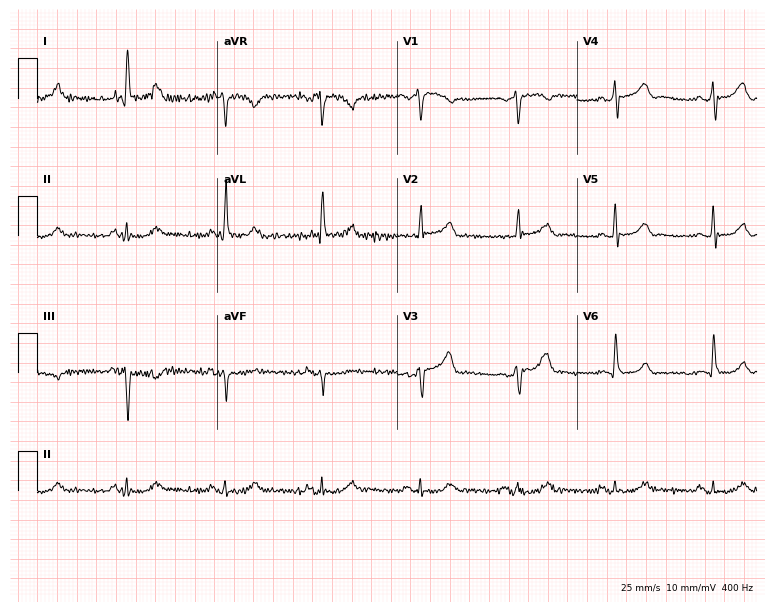
Resting 12-lead electrocardiogram. Patient: an 82-year-old male. None of these six findings is recorded: first-degree AV block, right bundle branch block (RBBB), left bundle branch block (LBBB), sinus bradycardia, atrial fibrillation (AF), sinus tachycardia. Findings outside these six are not listed.